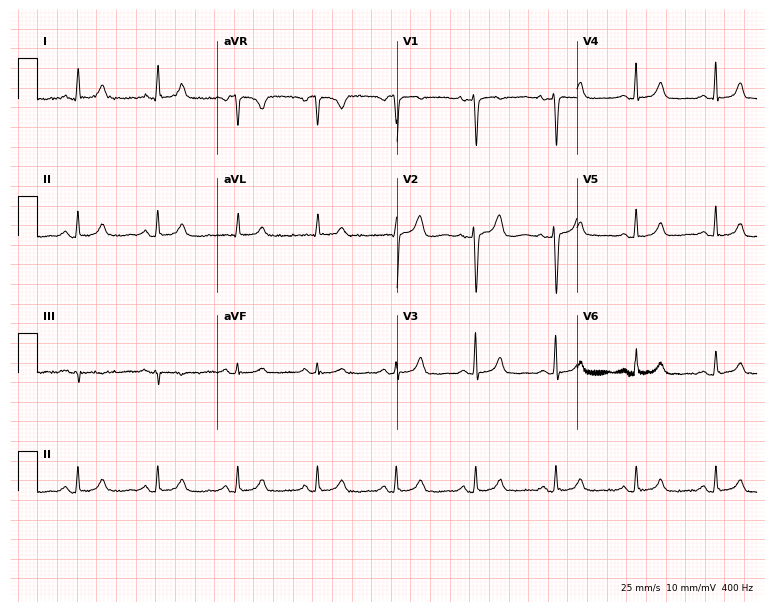
ECG (7.3-second recording at 400 Hz) — a 36-year-old female patient. Labelled as a normal ECG.